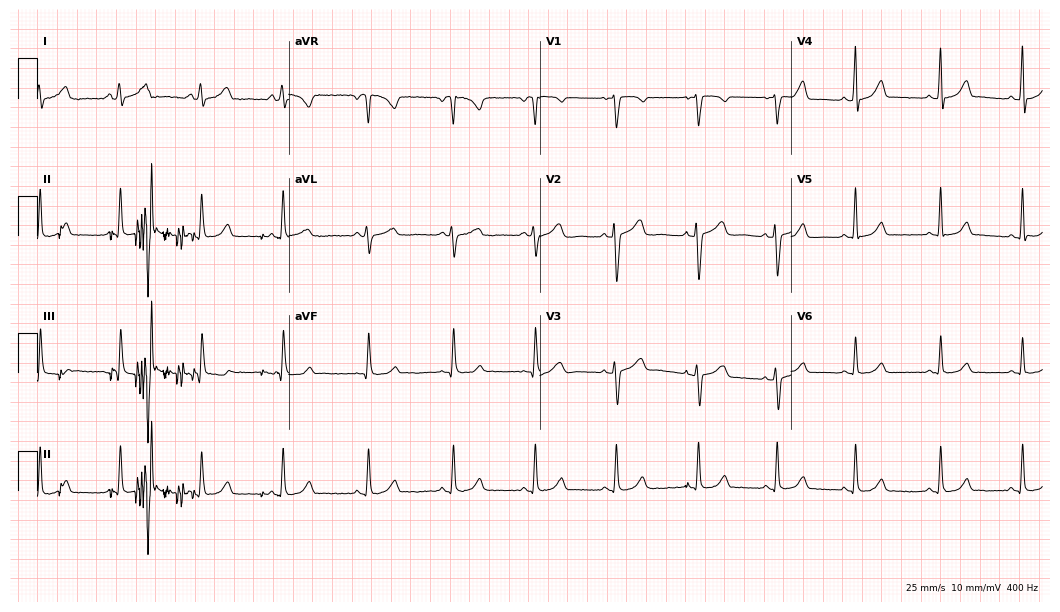
ECG — a woman, 38 years old. Labelled as a normal ECG.